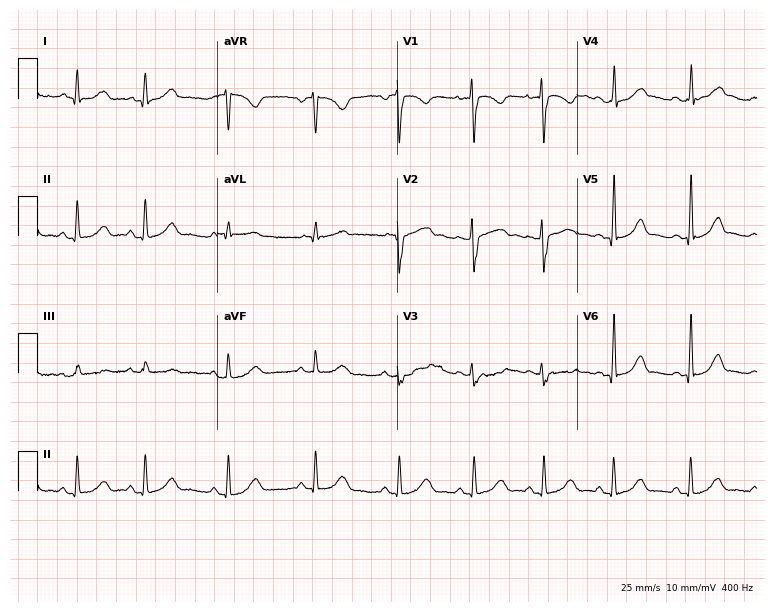
Resting 12-lead electrocardiogram (7.3-second recording at 400 Hz). Patient: a woman, 33 years old. None of these six findings is recorded: first-degree AV block, right bundle branch block (RBBB), left bundle branch block (LBBB), sinus bradycardia, atrial fibrillation (AF), sinus tachycardia. Findings outside these six are not listed.